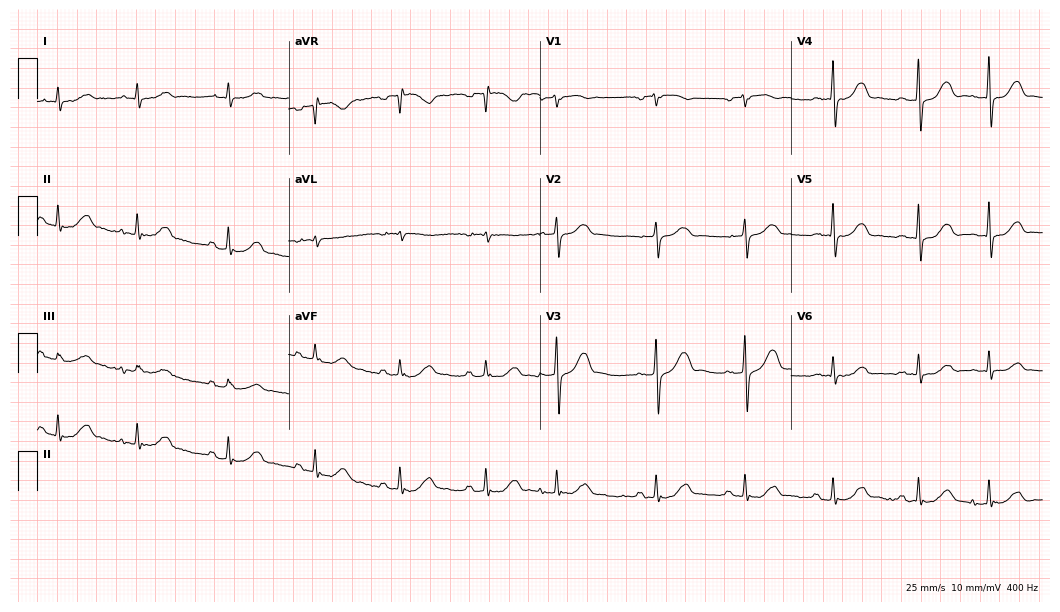
12-lead ECG from a woman, 84 years old. No first-degree AV block, right bundle branch block, left bundle branch block, sinus bradycardia, atrial fibrillation or sinus tachycardia recorded for this tracing. Other findings, if any, are not listed.